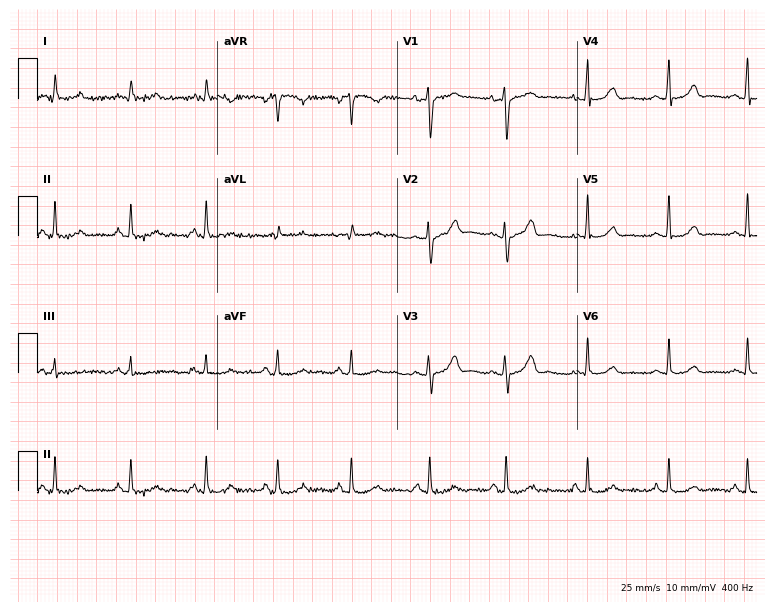
Standard 12-lead ECG recorded from a female, 37 years old. None of these six findings is recorded: first-degree AV block, right bundle branch block (RBBB), left bundle branch block (LBBB), sinus bradycardia, atrial fibrillation (AF), sinus tachycardia.